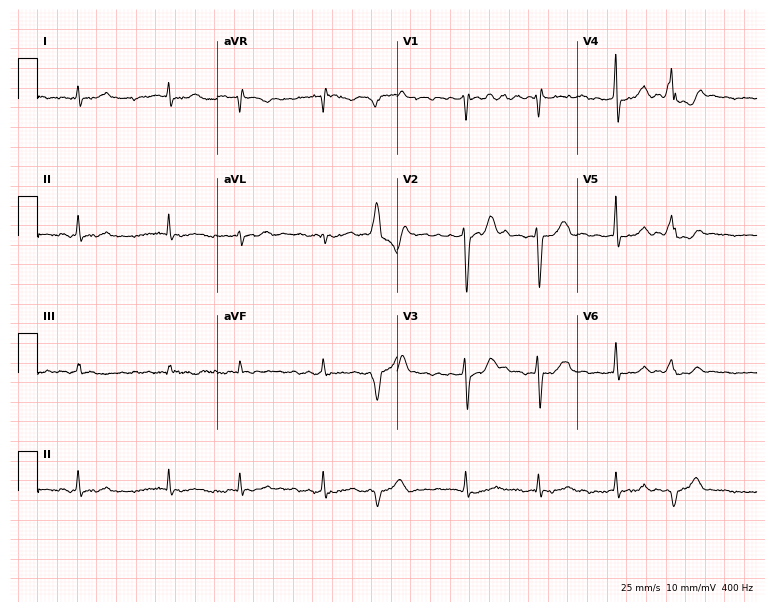
Resting 12-lead electrocardiogram. Patient: a man, 68 years old. The tracing shows atrial fibrillation.